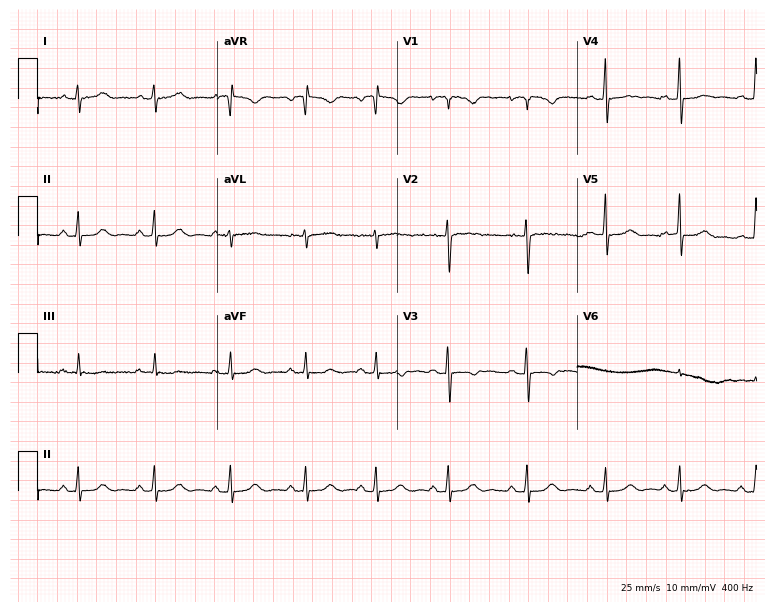
Electrocardiogram (7.3-second recording at 400 Hz), a 17-year-old female patient. Overall reading on record: normal ECG.